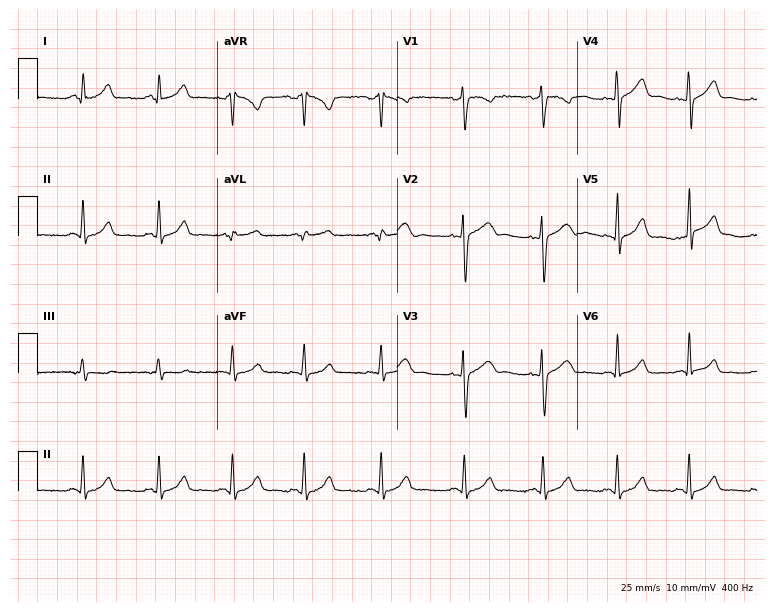
ECG (7.3-second recording at 400 Hz) — a 31-year-old female. Labelled as a normal ECG.